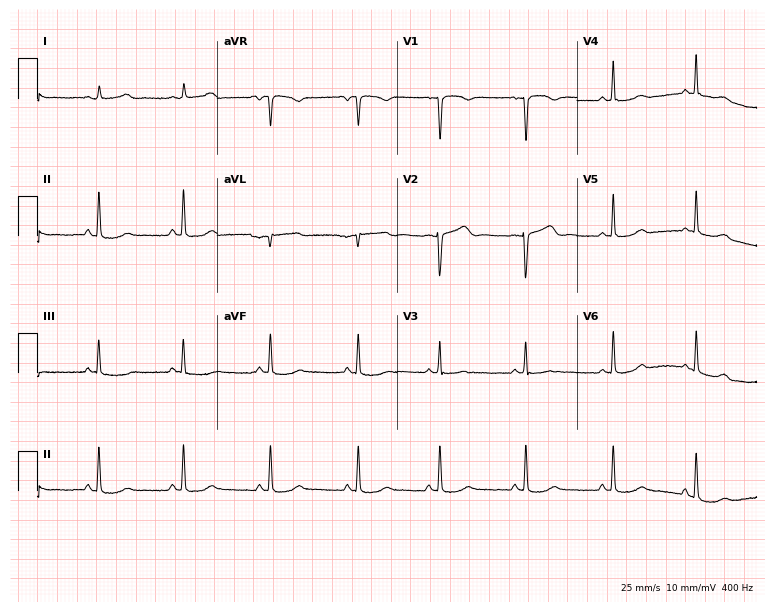
Resting 12-lead electrocardiogram (7.3-second recording at 400 Hz). Patient: a 32-year-old woman. None of these six findings is recorded: first-degree AV block, right bundle branch block, left bundle branch block, sinus bradycardia, atrial fibrillation, sinus tachycardia. Findings outside these six are not listed.